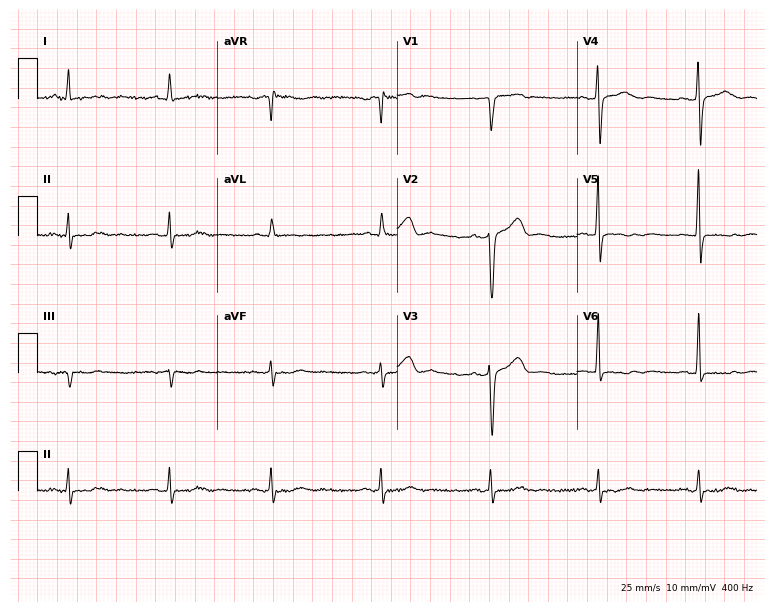
12-lead ECG from a female patient, 49 years old. Screened for six findings — first-degree AV block, right bundle branch block, left bundle branch block, sinus bradycardia, atrial fibrillation, sinus tachycardia — none is recorded. Other findings, if any, are not listed.